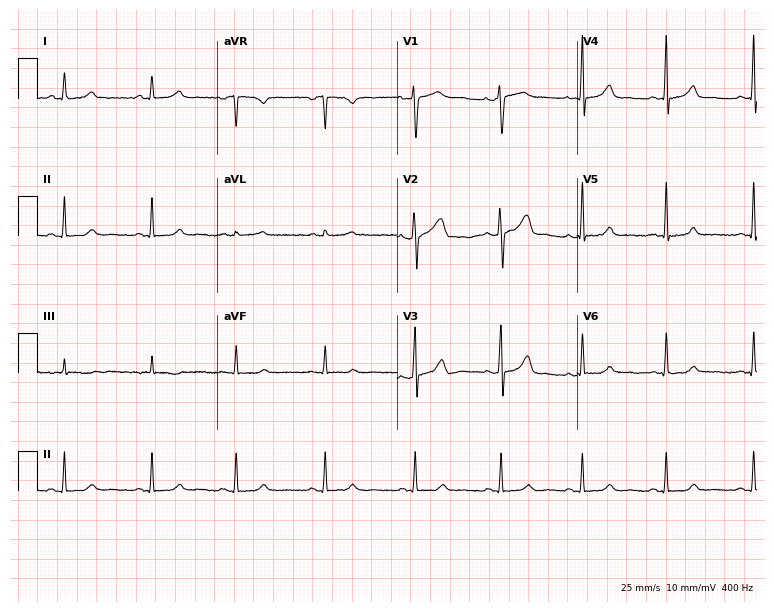
12-lead ECG from a 31-year-old female (7.3-second recording at 400 Hz). No first-degree AV block, right bundle branch block (RBBB), left bundle branch block (LBBB), sinus bradycardia, atrial fibrillation (AF) or sinus tachycardia recorded for this tracing. Findings outside these six are not listed.